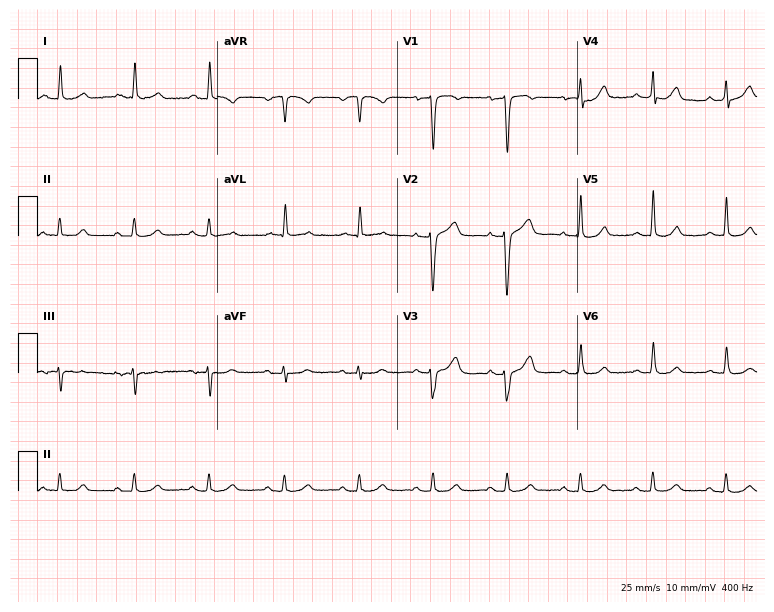
Standard 12-lead ECG recorded from a woman, 72 years old (7.3-second recording at 400 Hz). Read as a normal ECG.